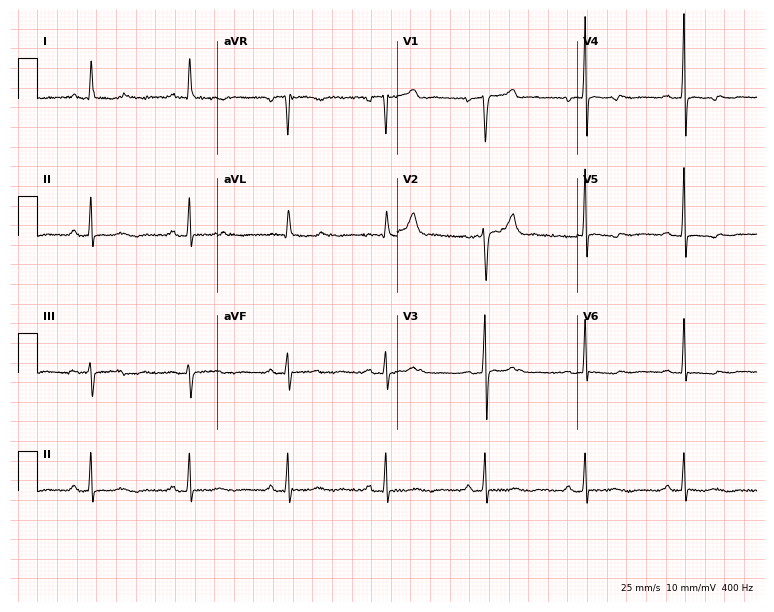
Resting 12-lead electrocardiogram (7.3-second recording at 400 Hz). Patient: a 51-year-old female. Read as a normal ECG.